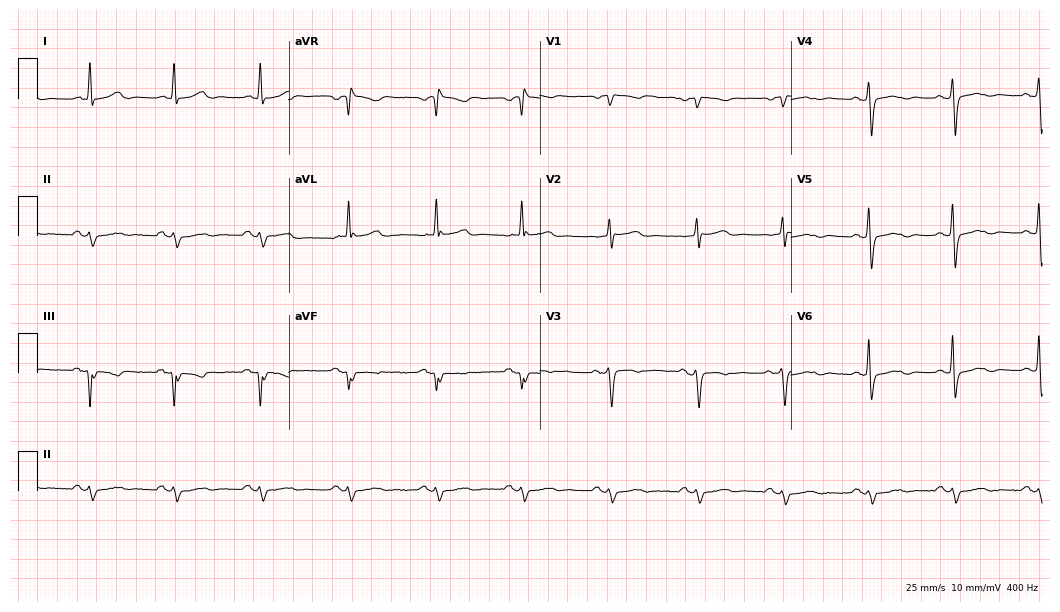
Resting 12-lead electrocardiogram. Patient: a female, 87 years old. None of these six findings is recorded: first-degree AV block, right bundle branch block, left bundle branch block, sinus bradycardia, atrial fibrillation, sinus tachycardia. Other findings, if any, are not listed.